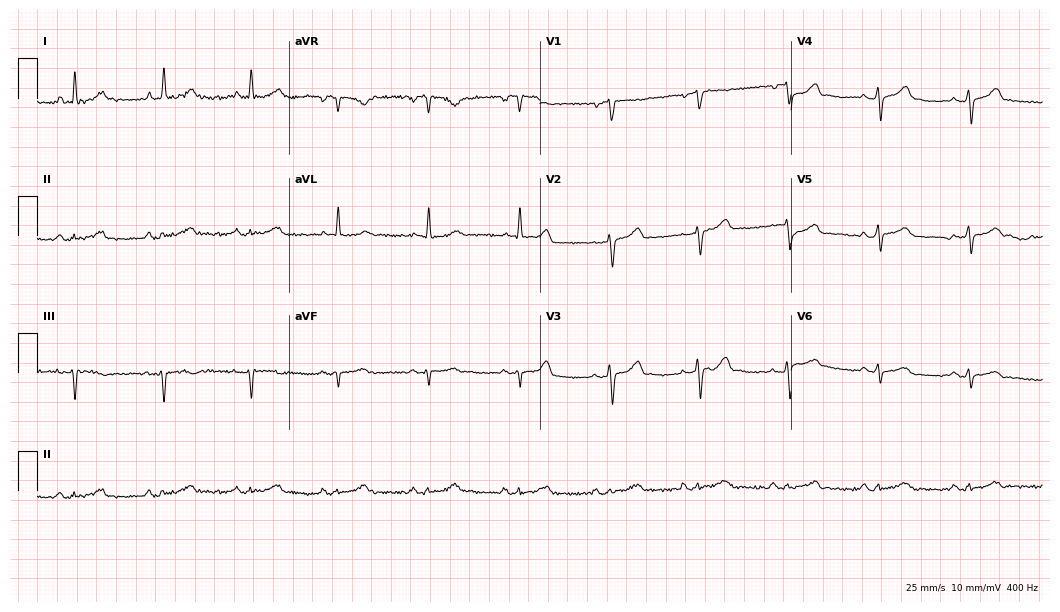
Resting 12-lead electrocardiogram. Patient: a male, 43 years old. None of these six findings is recorded: first-degree AV block, right bundle branch block, left bundle branch block, sinus bradycardia, atrial fibrillation, sinus tachycardia. Other findings, if any, are not listed.